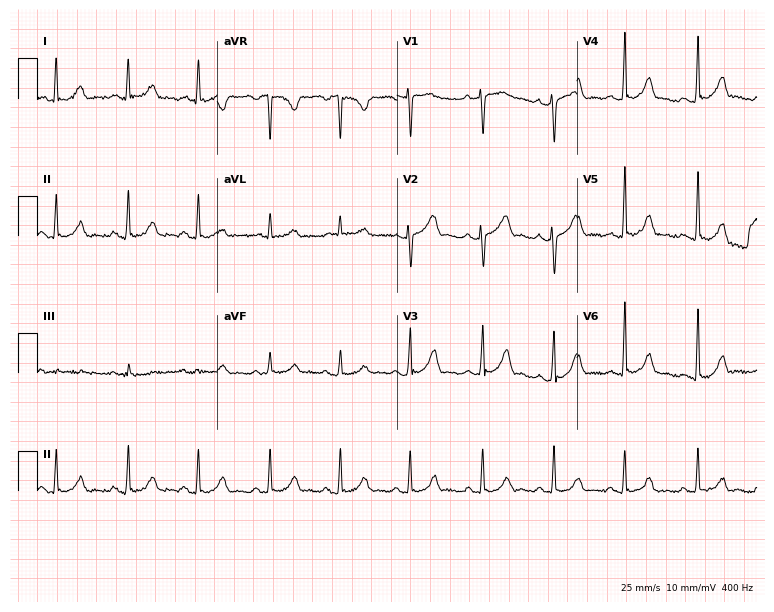
12-lead ECG from a female patient, 42 years old. Labelled as a normal ECG.